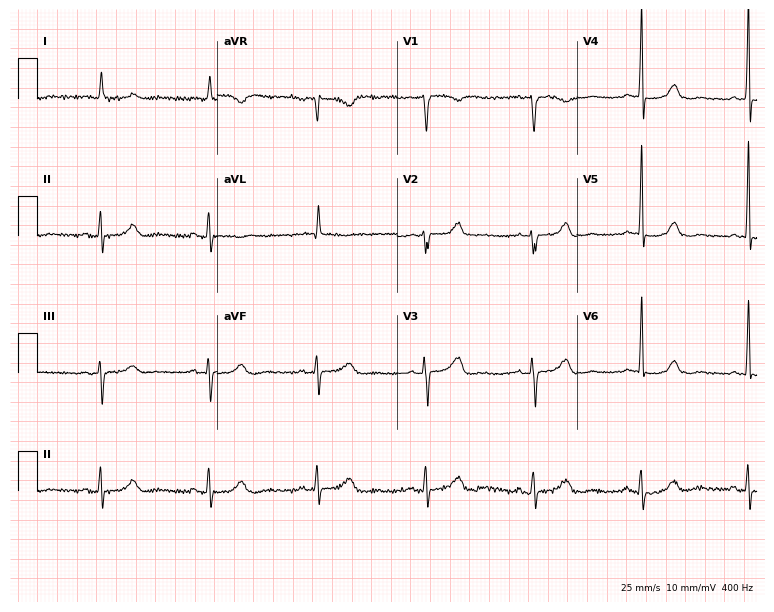
ECG (7.3-second recording at 400 Hz) — an 82-year-old female. Screened for six findings — first-degree AV block, right bundle branch block, left bundle branch block, sinus bradycardia, atrial fibrillation, sinus tachycardia — none is recorded.